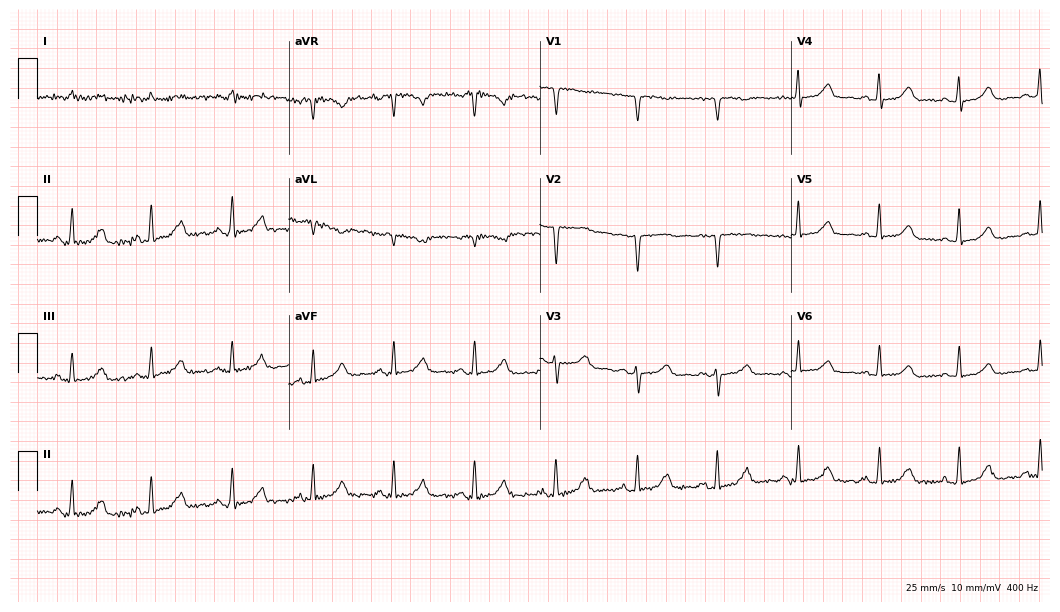
Electrocardiogram (10.2-second recording at 400 Hz), a 77-year-old female. Overall reading on record: normal ECG.